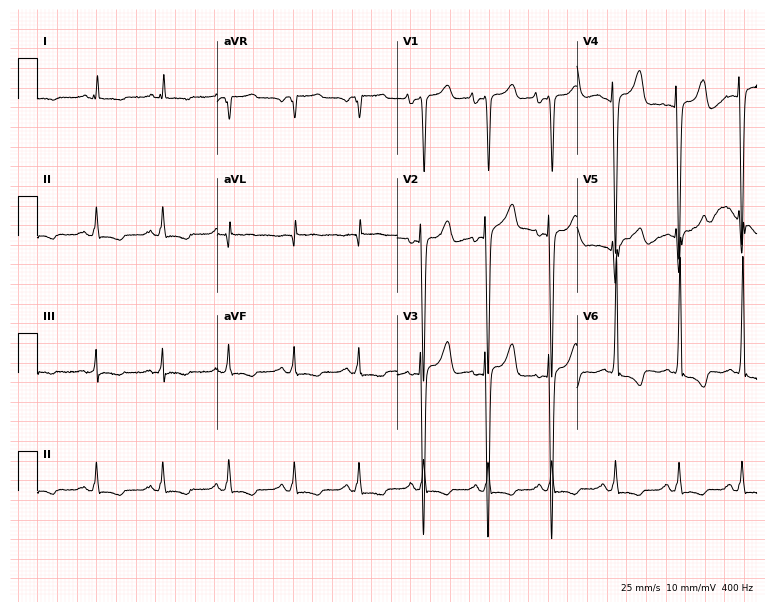
Standard 12-lead ECG recorded from a male patient, 69 years old. None of these six findings is recorded: first-degree AV block, right bundle branch block, left bundle branch block, sinus bradycardia, atrial fibrillation, sinus tachycardia. Only these six findings were labelled.